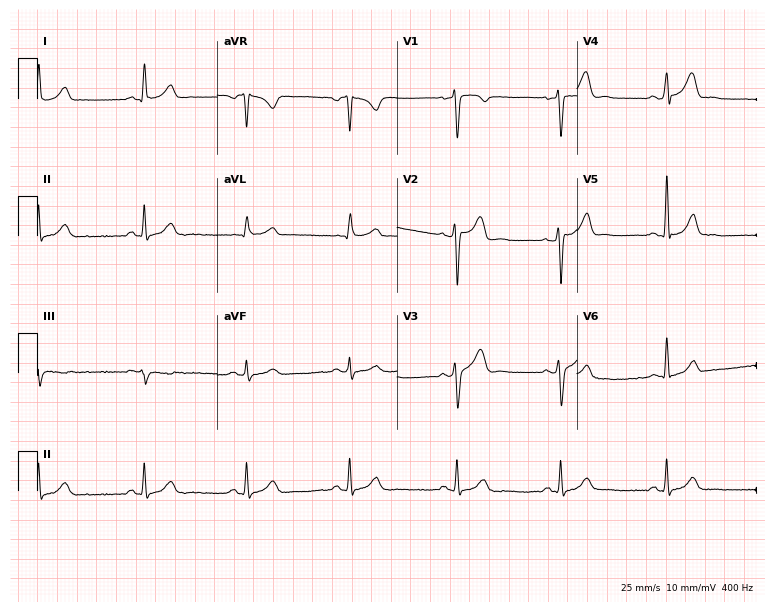
ECG (7.3-second recording at 400 Hz) — a 37-year-old man. Screened for six findings — first-degree AV block, right bundle branch block, left bundle branch block, sinus bradycardia, atrial fibrillation, sinus tachycardia — none is recorded.